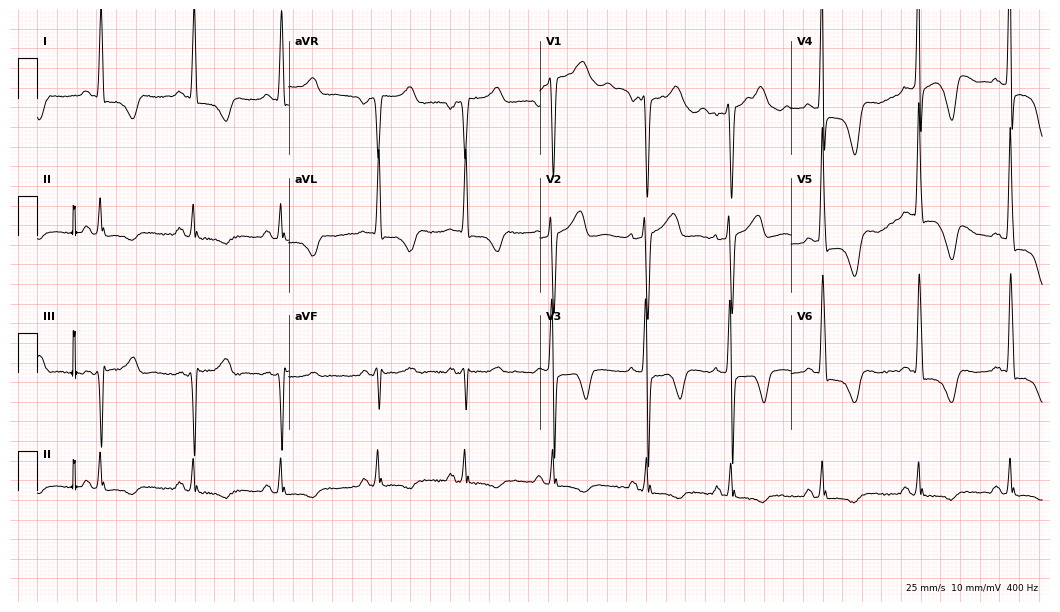
12-lead ECG from a male, 41 years old. No first-degree AV block, right bundle branch block, left bundle branch block, sinus bradycardia, atrial fibrillation or sinus tachycardia recorded for this tracing. Only these six findings were labelled.